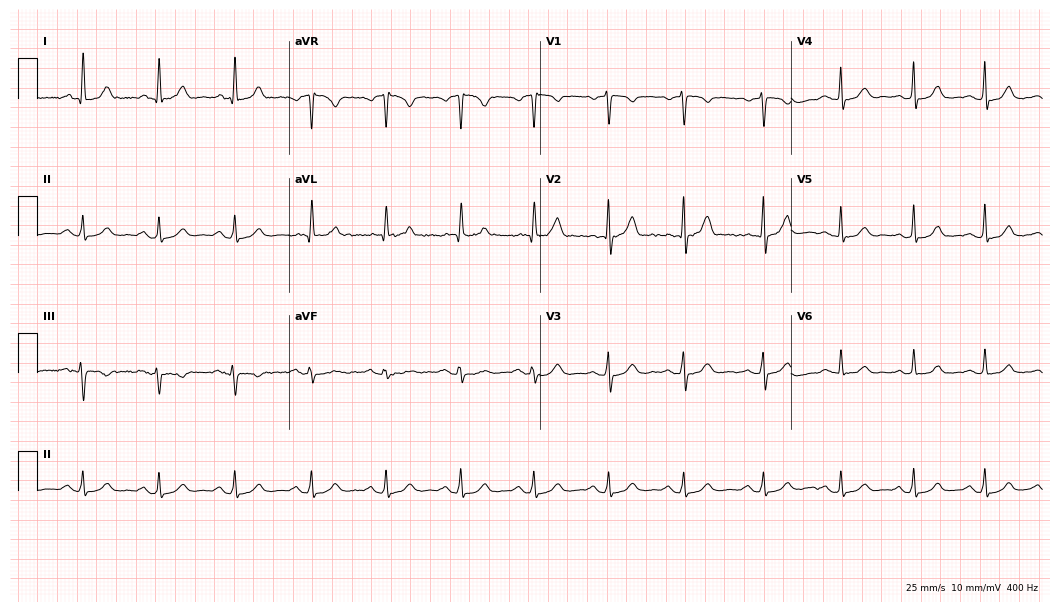
Standard 12-lead ECG recorded from a woman, 54 years old. Read as a normal ECG.